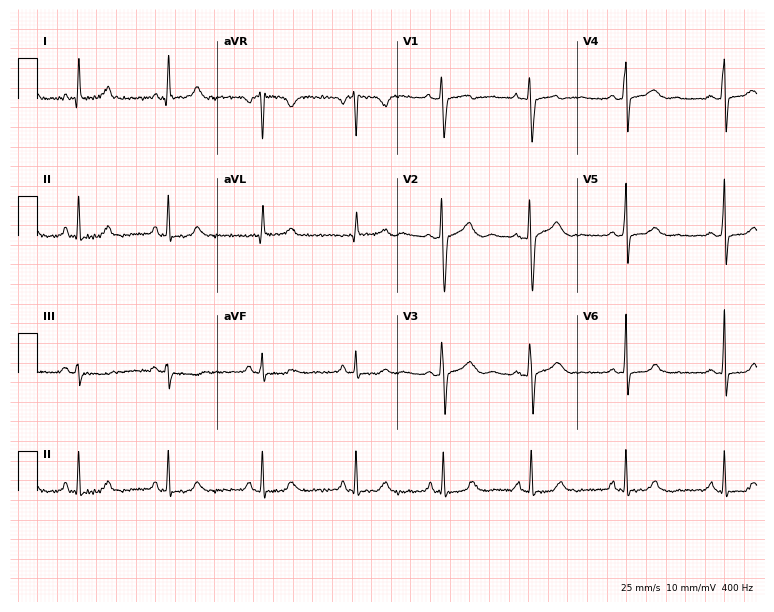
Electrocardiogram (7.3-second recording at 400 Hz), a female, 39 years old. Overall reading on record: normal ECG.